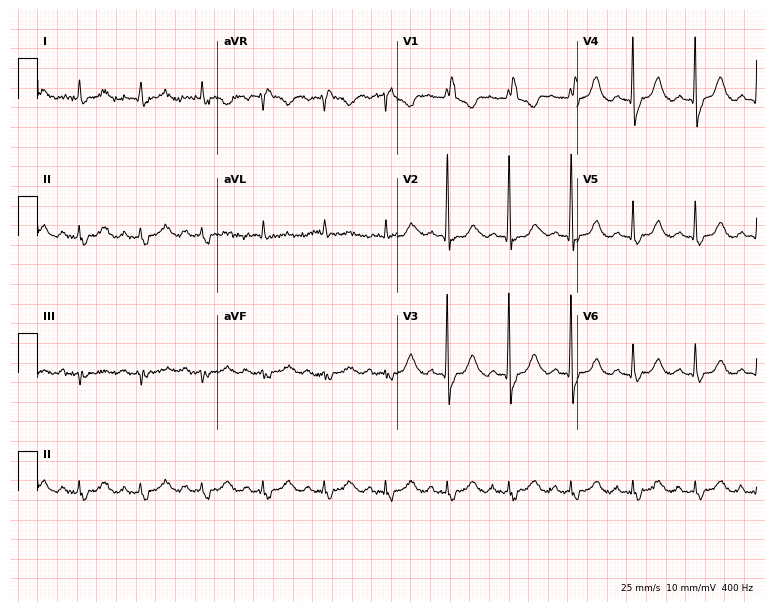
ECG — a woman, 77 years old. Findings include right bundle branch block.